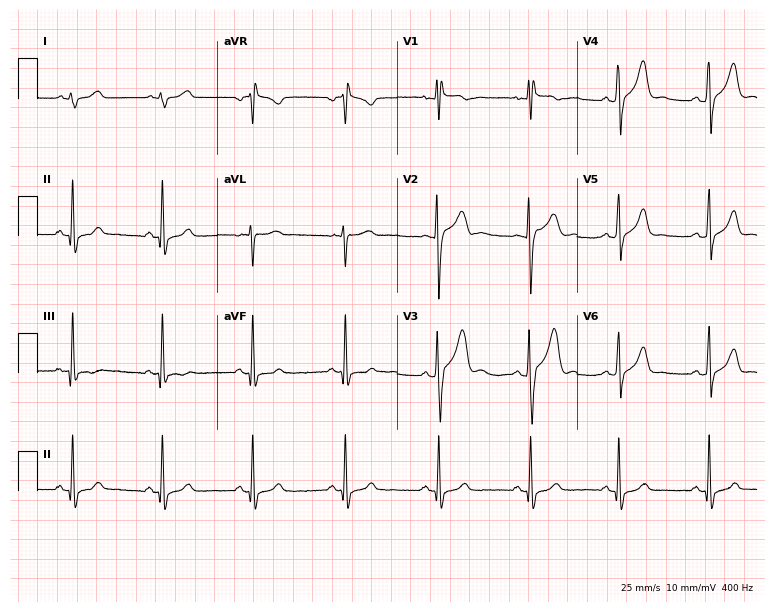
Electrocardiogram, a male, 30 years old. Of the six screened findings (first-degree AV block, right bundle branch block, left bundle branch block, sinus bradycardia, atrial fibrillation, sinus tachycardia), none is recorded.